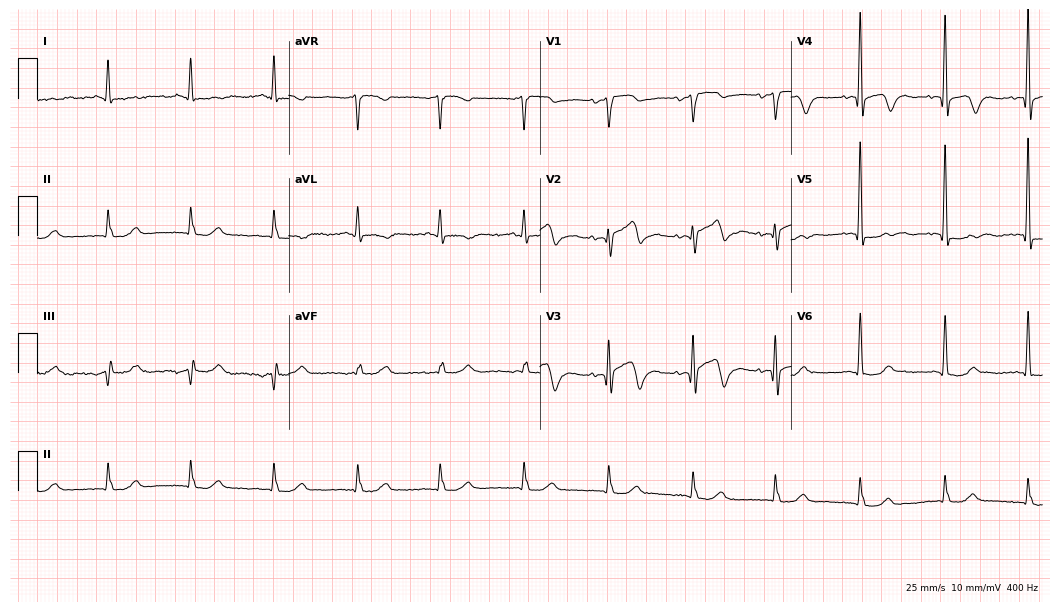
ECG — a 70-year-old man. Screened for six findings — first-degree AV block, right bundle branch block (RBBB), left bundle branch block (LBBB), sinus bradycardia, atrial fibrillation (AF), sinus tachycardia — none is recorded.